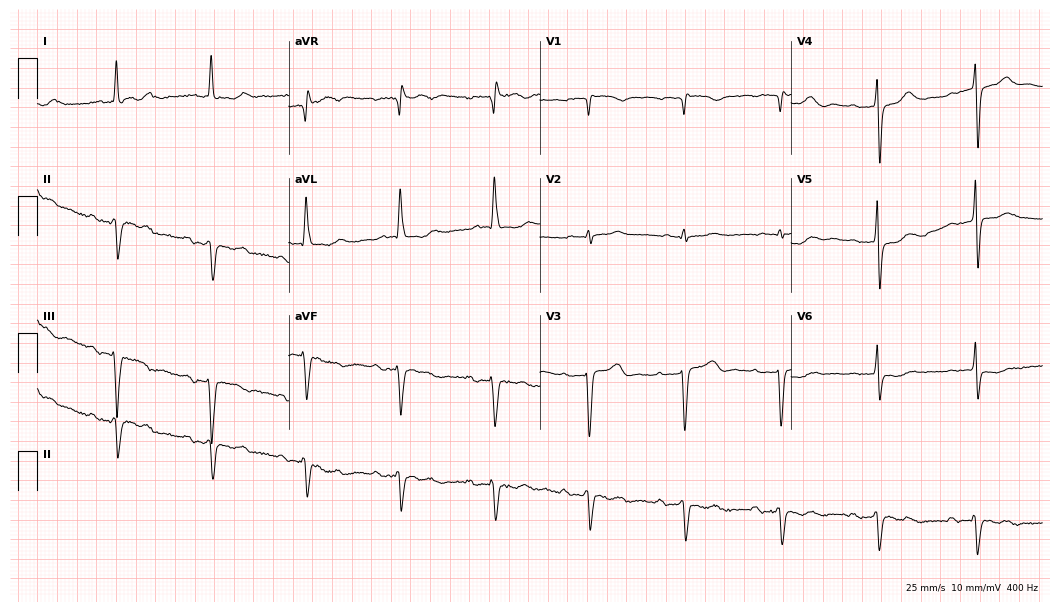
Resting 12-lead electrocardiogram (10.2-second recording at 400 Hz). Patient: a man, 85 years old. The tracing shows first-degree AV block.